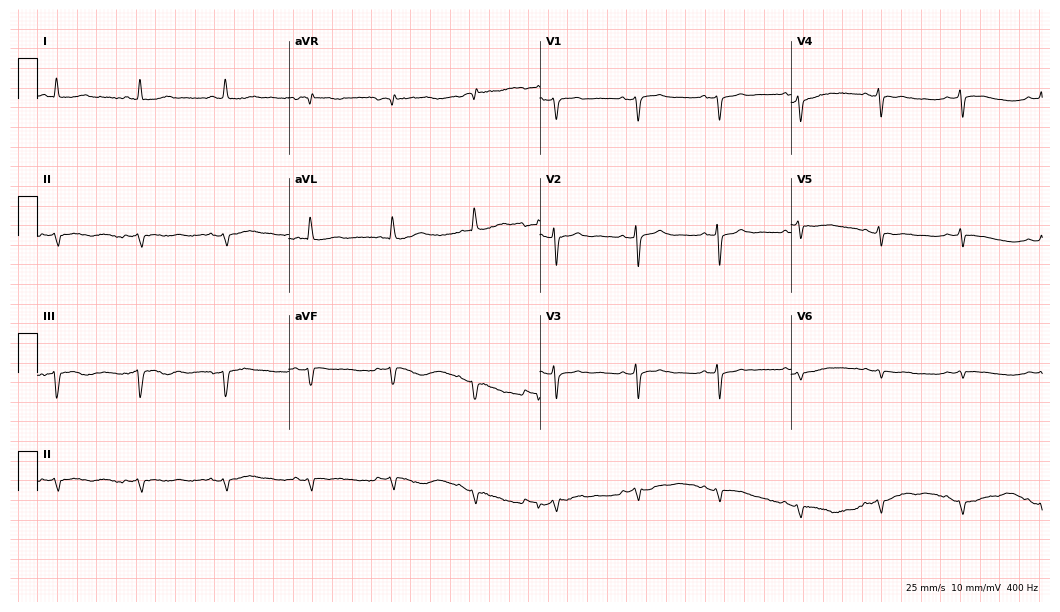
Resting 12-lead electrocardiogram. Patient: an 84-year-old female. None of these six findings is recorded: first-degree AV block, right bundle branch block, left bundle branch block, sinus bradycardia, atrial fibrillation, sinus tachycardia.